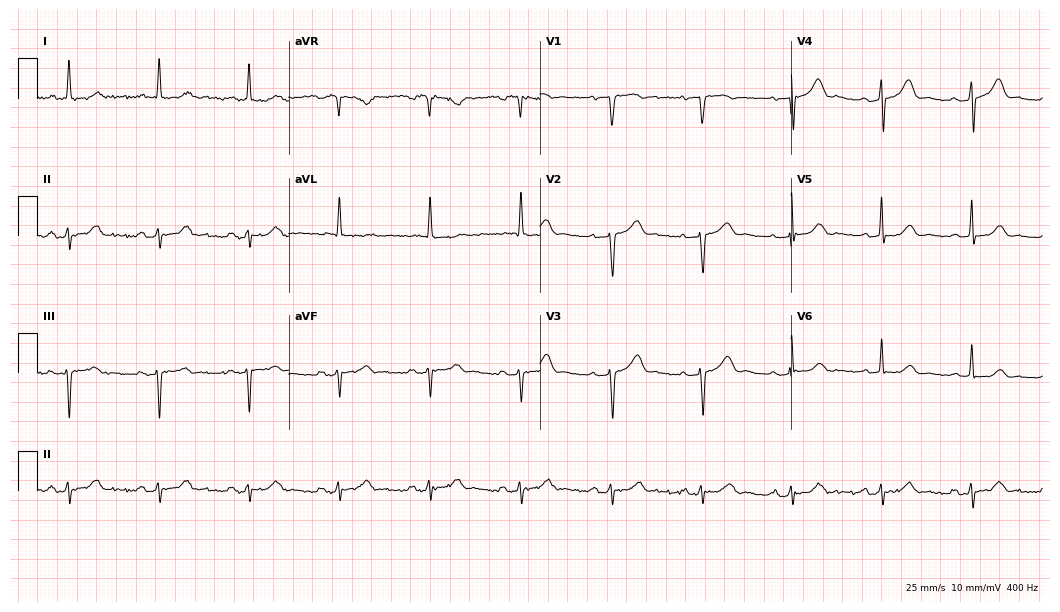
Electrocardiogram, a 77-year-old woman. Of the six screened findings (first-degree AV block, right bundle branch block, left bundle branch block, sinus bradycardia, atrial fibrillation, sinus tachycardia), none is recorded. Only these six findings were labelled.